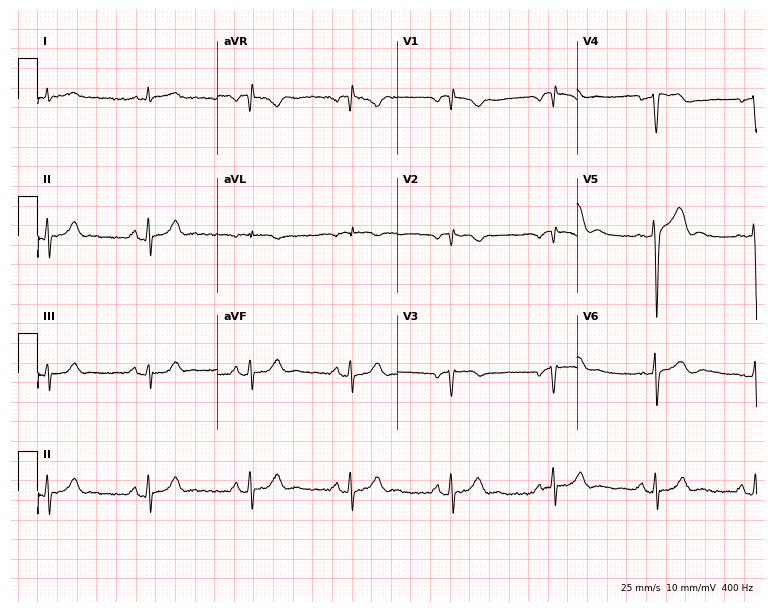
12-lead ECG from a 48-year-old male. Screened for six findings — first-degree AV block, right bundle branch block (RBBB), left bundle branch block (LBBB), sinus bradycardia, atrial fibrillation (AF), sinus tachycardia — none is recorded.